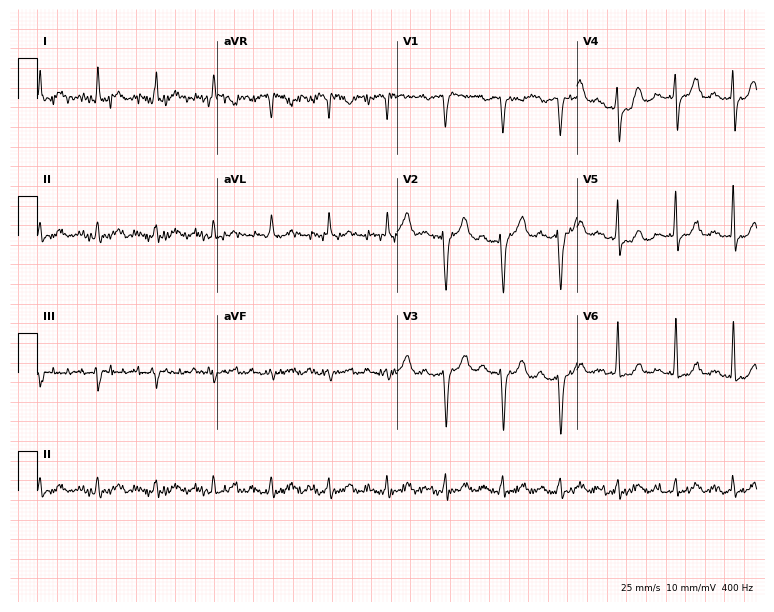
Resting 12-lead electrocardiogram. Patient: an 83-year-old male. The tracing shows sinus tachycardia (a sinus rate of 100 beats per minute or more).